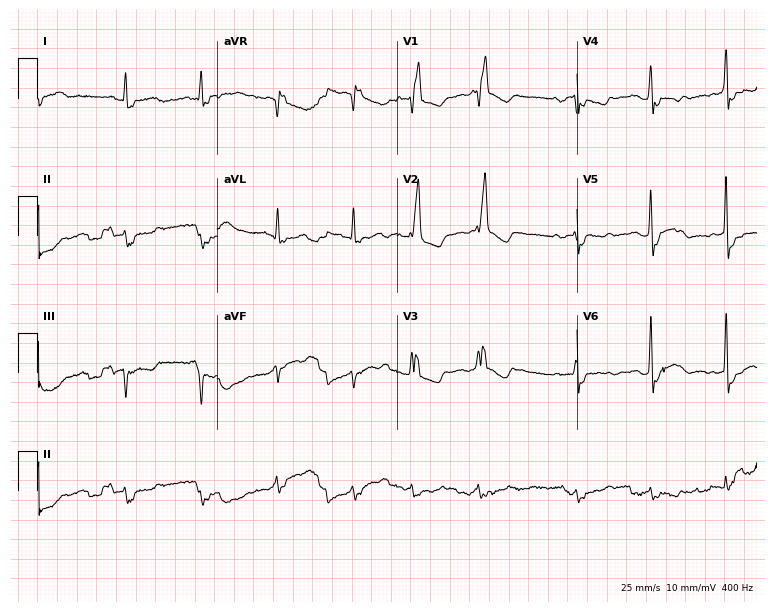
12-lead ECG from an 85-year-old woman. Findings include right bundle branch block (RBBB).